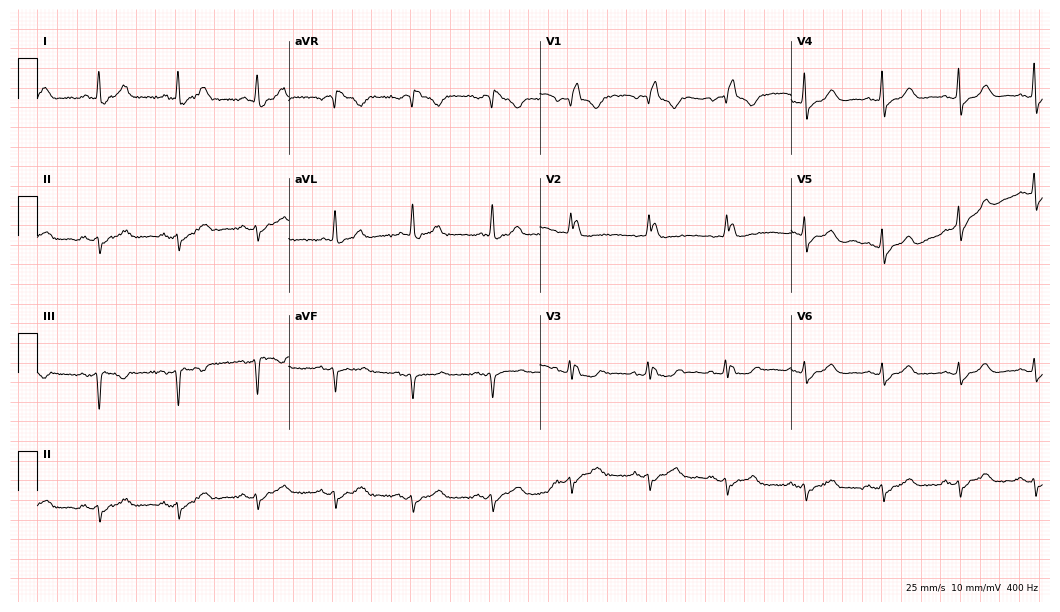
Resting 12-lead electrocardiogram. Patient: a 75-year-old woman. None of these six findings is recorded: first-degree AV block, right bundle branch block (RBBB), left bundle branch block (LBBB), sinus bradycardia, atrial fibrillation (AF), sinus tachycardia.